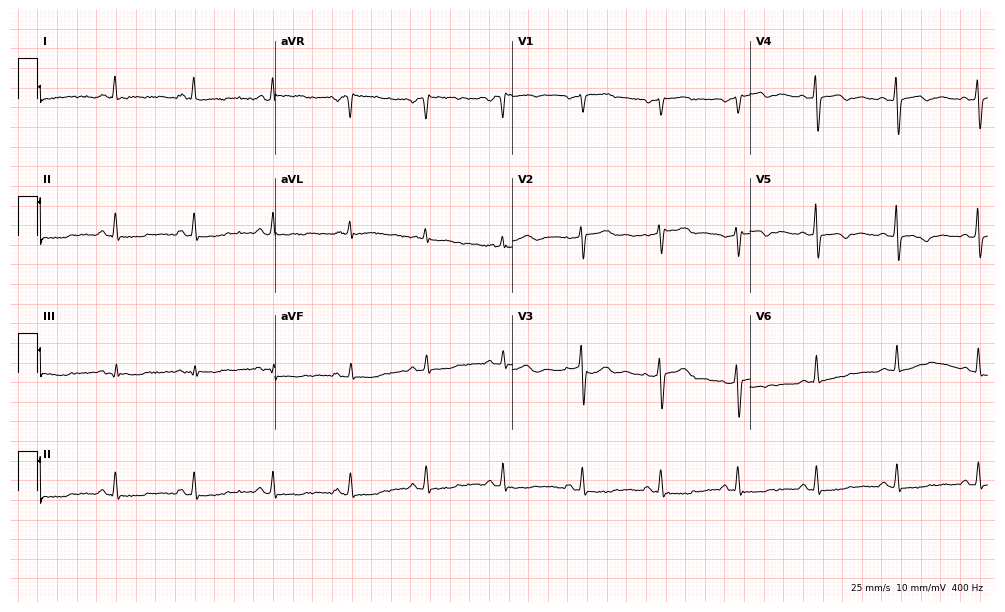
ECG (9.7-second recording at 400 Hz) — a woman, 52 years old. Screened for six findings — first-degree AV block, right bundle branch block, left bundle branch block, sinus bradycardia, atrial fibrillation, sinus tachycardia — none is recorded. Other findings, if any, are not listed.